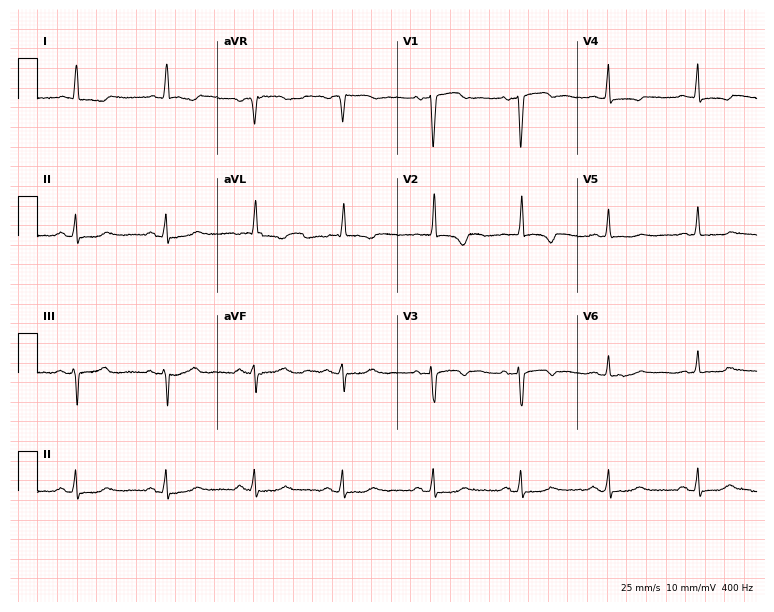
Resting 12-lead electrocardiogram. Patient: a female, 82 years old. None of these six findings is recorded: first-degree AV block, right bundle branch block, left bundle branch block, sinus bradycardia, atrial fibrillation, sinus tachycardia. Findings outside these six are not listed.